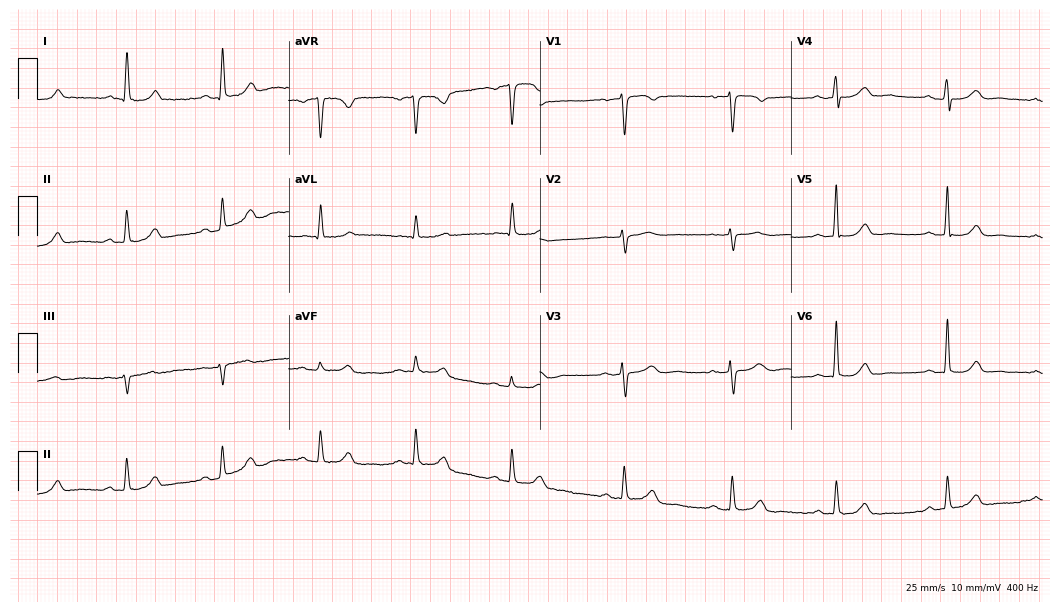
12-lead ECG from a female patient, 57 years old. Screened for six findings — first-degree AV block, right bundle branch block (RBBB), left bundle branch block (LBBB), sinus bradycardia, atrial fibrillation (AF), sinus tachycardia — none is recorded.